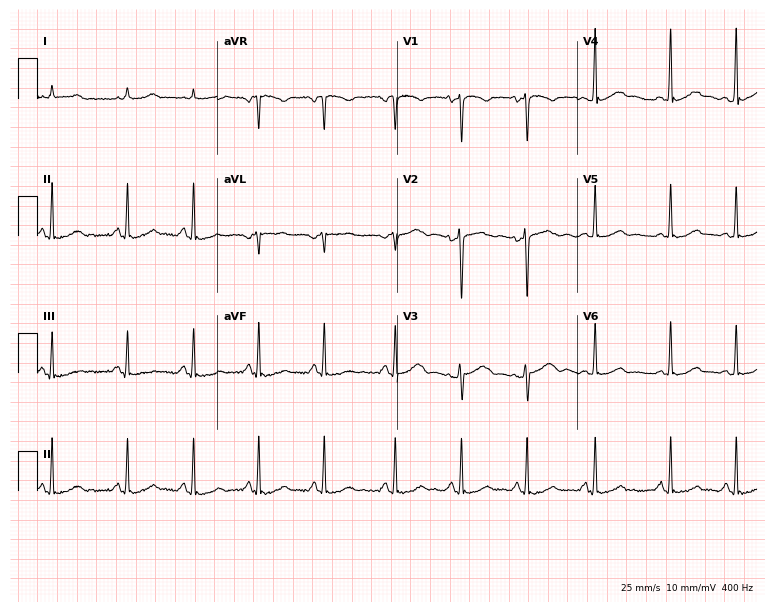
12-lead ECG (7.3-second recording at 400 Hz) from a female patient, 27 years old. Screened for six findings — first-degree AV block, right bundle branch block, left bundle branch block, sinus bradycardia, atrial fibrillation, sinus tachycardia — none is recorded. Other findings, if any, are not listed.